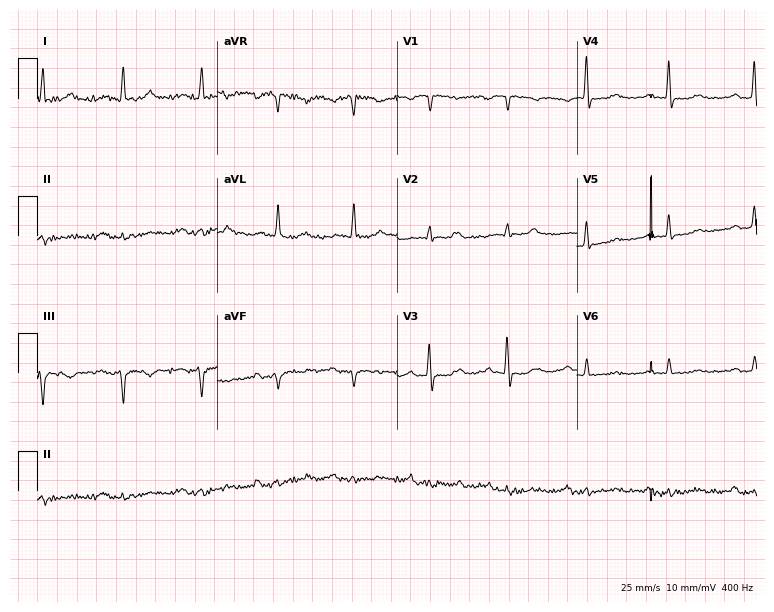
ECG (7.3-second recording at 400 Hz) — a 69-year-old woman. Screened for six findings — first-degree AV block, right bundle branch block (RBBB), left bundle branch block (LBBB), sinus bradycardia, atrial fibrillation (AF), sinus tachycardia — none is recorded. Other findings, if any, are not listed.